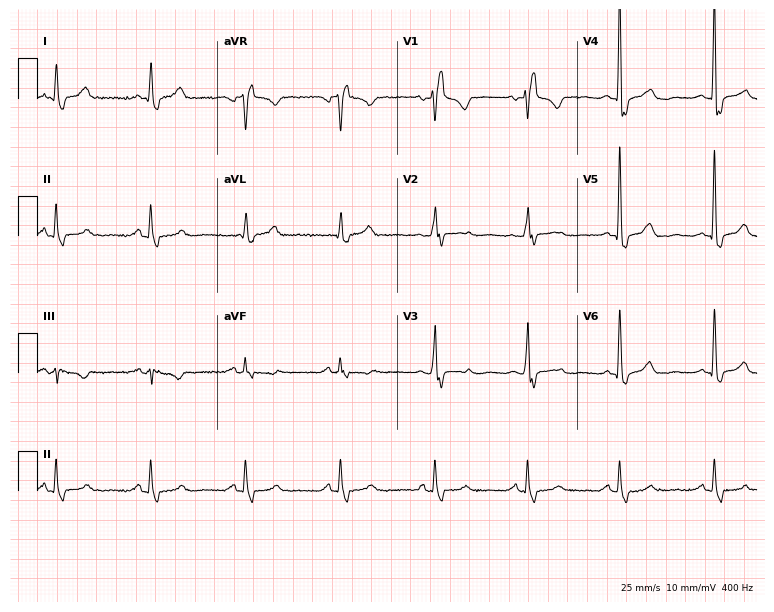
Electrocardiogram, a female, 67 years old. Interpretation includes right bundle branch block.